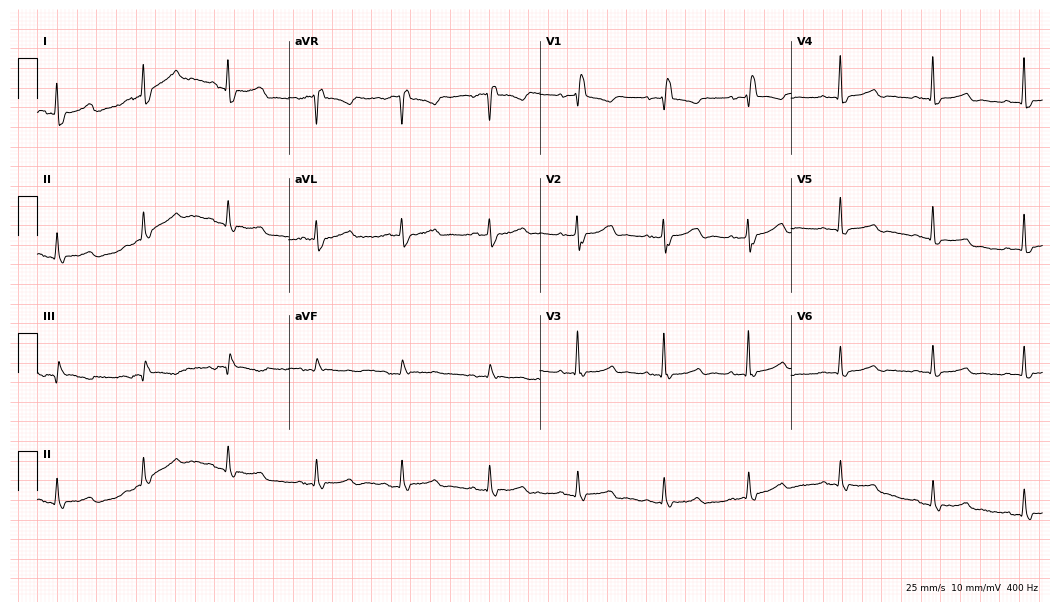
12-lead ECG from an 85-year-old female (10.2-second recording at 400 Hz). No first-degree AV block, right bundle branch block, left bundle branch block, sinus bradycardia, atrial fibrillation or sinus tachycardia recorded for this tracing.